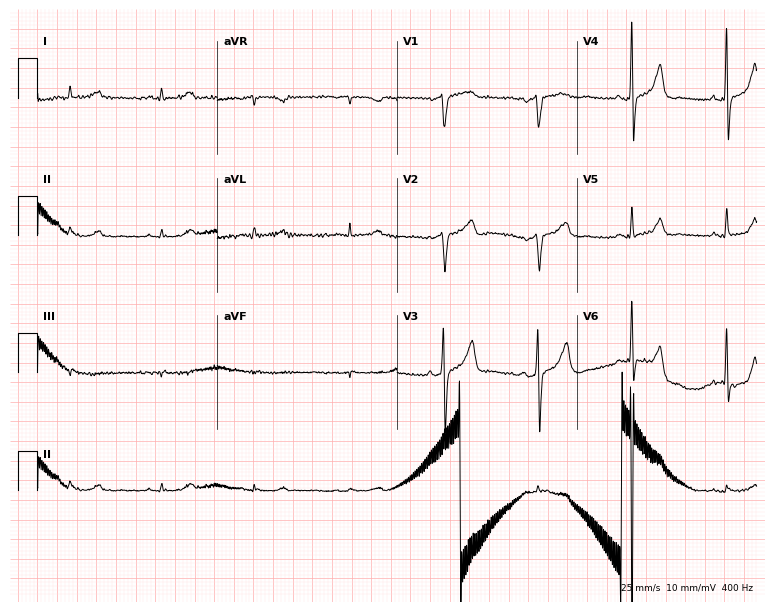
Electrocardiogram (7.3-second recording at 400 Hz), a male patient, 68 years old. Overall reading on record: normal ECG.